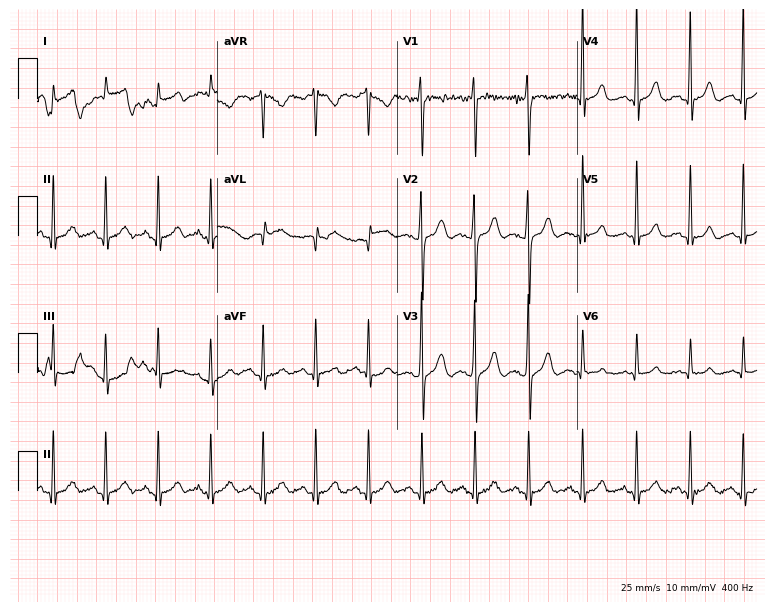
12-lead ECG from a male, 19 years old. Findings include sinus tachycardia (a sinus rate of 100 beats per minute or more).